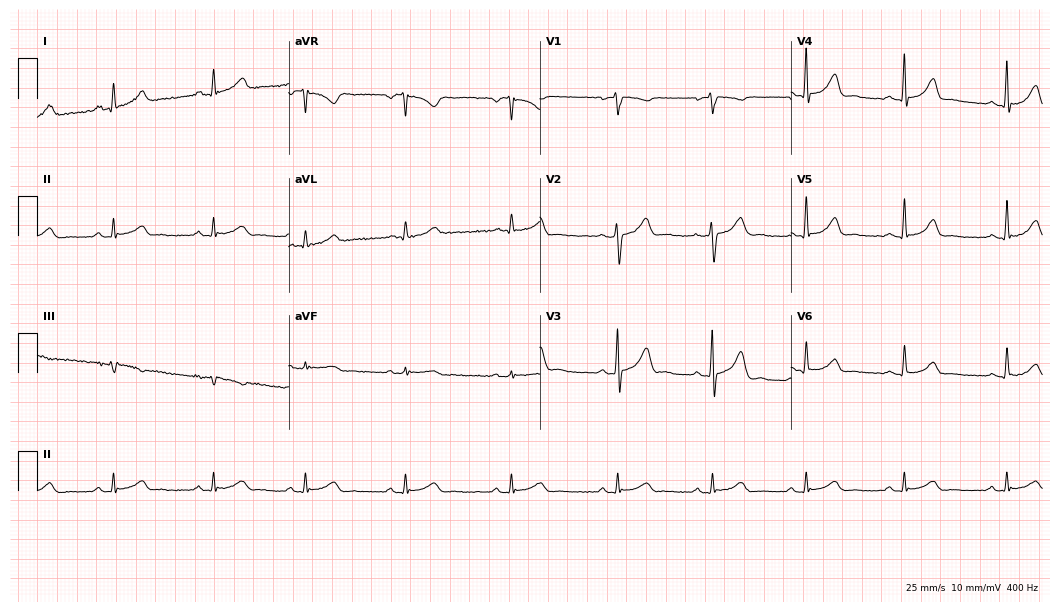
Standard 12-lead ECG recorded from a male patient, 34 years old (10.2-second recording at 400 Hz). None of these six findings is recorded: first-degree AV block, right bundle branch block (RBBB), left bundle branch block (LBBB), sinus bradycardia, atrial fibrillation (AF), sinus tachycardia. Only these six findings were labelled.